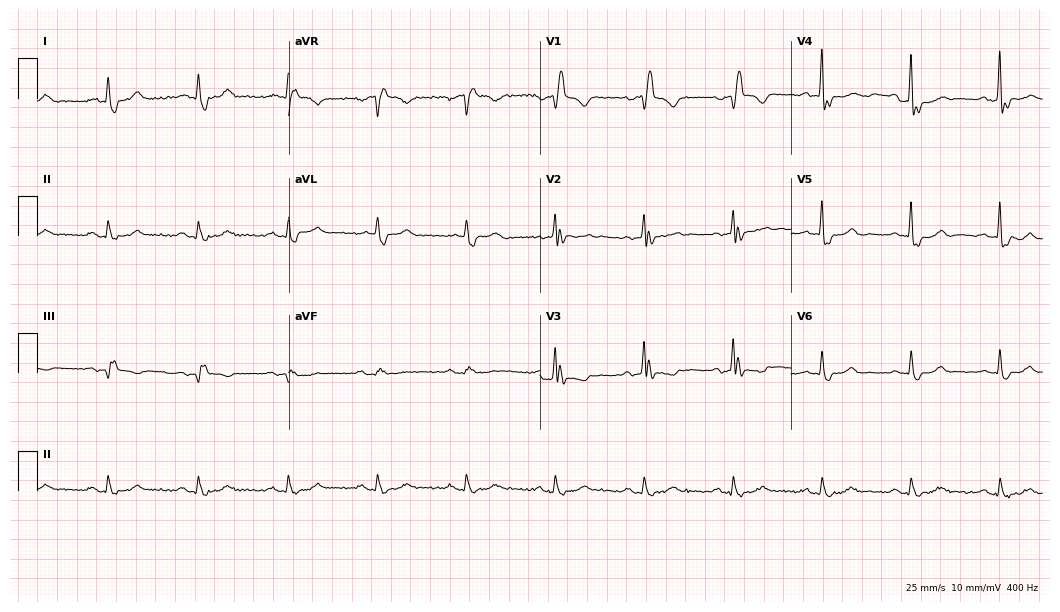
Electrocardiogram (10.2-second recording at 400 Hz), a man, 83 years old. Interpretation includes right bundle branch block.